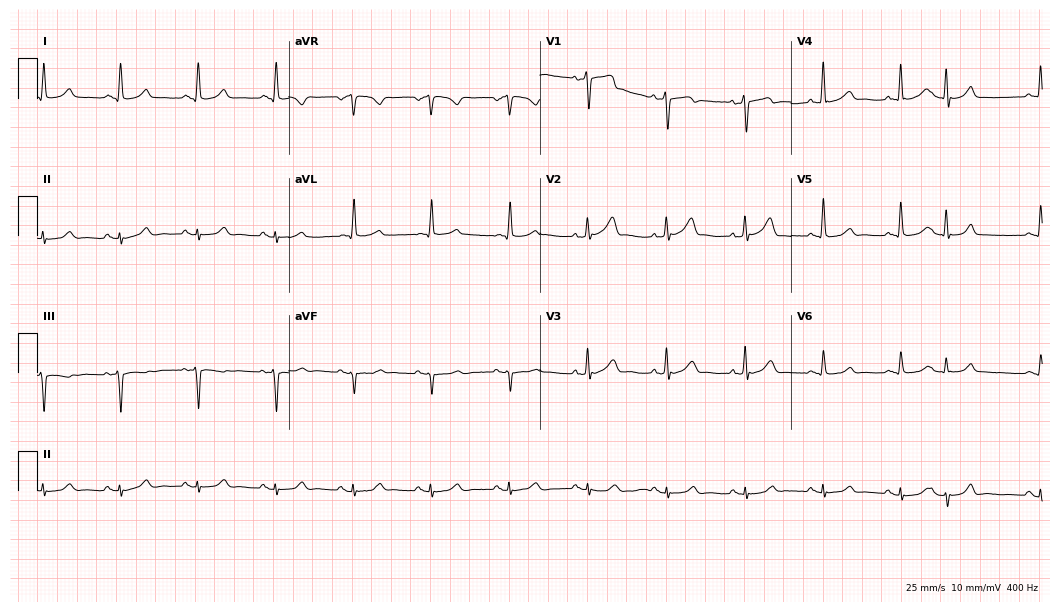
Electrocardiogram, a man, 74 years old. Of the six screened findings (first-degree AV block, right bundle branch block (RBBB), left bundle branch block (LBBB), sinus bradycardia, atrial fibrillation (AF), sinus tachycardia), none is recorded.